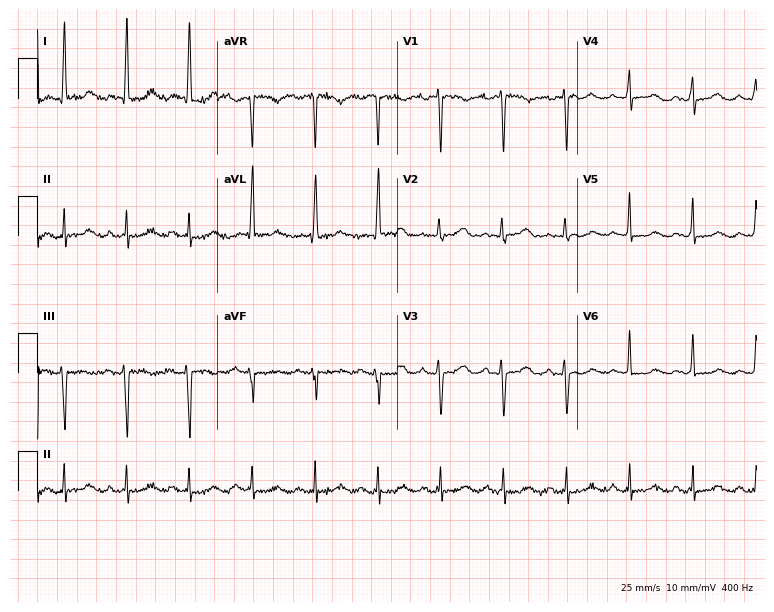
ECG (7.3-second recording at 400 Hz) — an 81-year-old female. Screened for six findings — first-degree AV block, right bundle branch block (RBBB), left bundle branch block (LBBB), sinus bradycardia, atrial fibrillation (AF), sinus tachycardia — none is recorded.